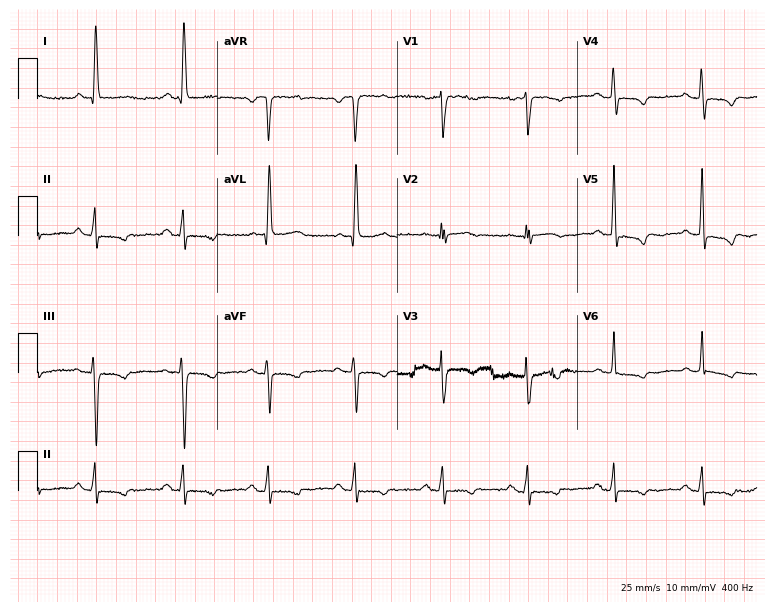
ECG (7.3-second recording at 400 Hz) — a female, 60 years old. Screened for six findings — first-degree AV block, right bundle branch block, left bundle branch block, sinus bradycardia, atrial fibrillation, sinus tachycardia — none is recorded. Other findings, if any, are not listed.